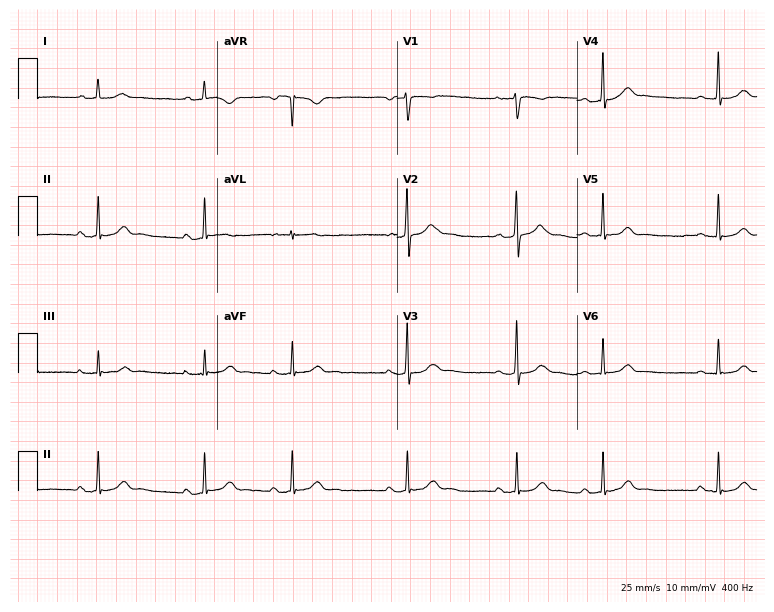
Standard 12-lead ECG recorded from a 22-year-old female patient. Read as a normal ECG.